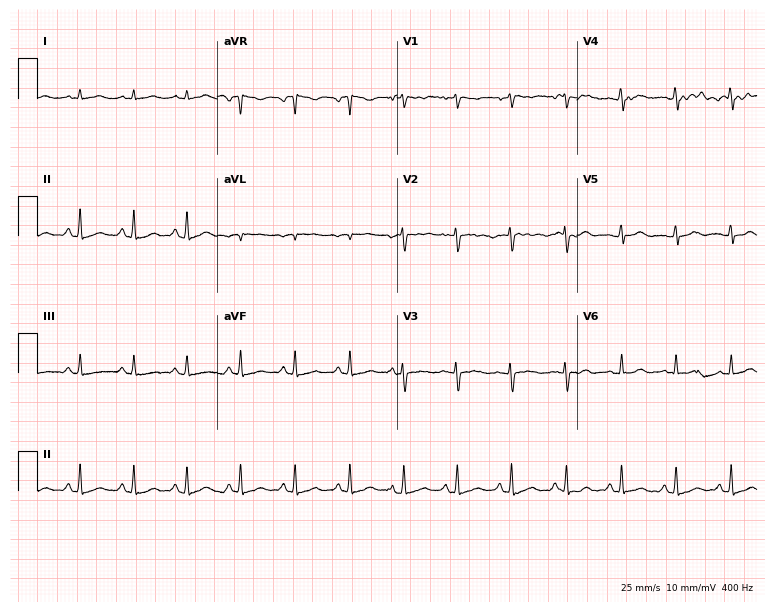
Standard 12-lead ECG recorded from a 17-year-old female patient. The tracing shows sinus tachycardia (a sinus rate of 100 beats per minute or more).